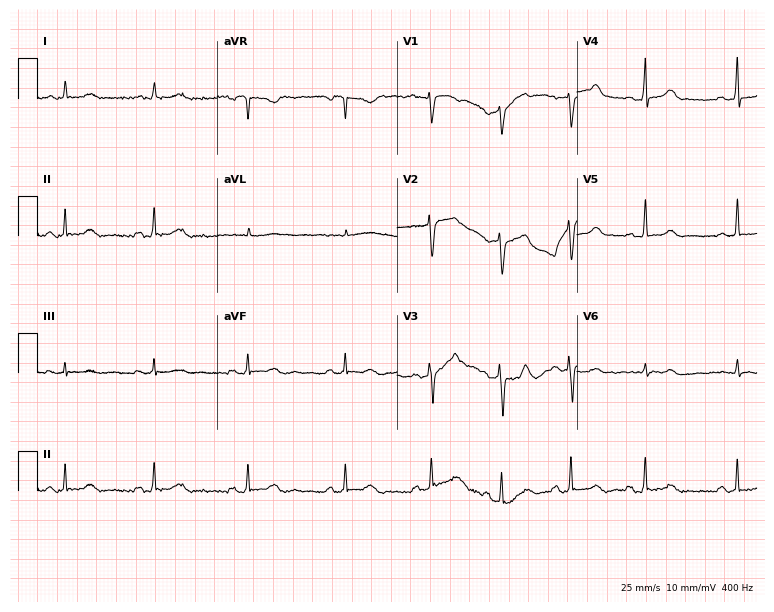
Standard 12-lead ECG recorded from a 37-year-old woman (7.3-second recording at 400 Hz). Read as a normal ECG.